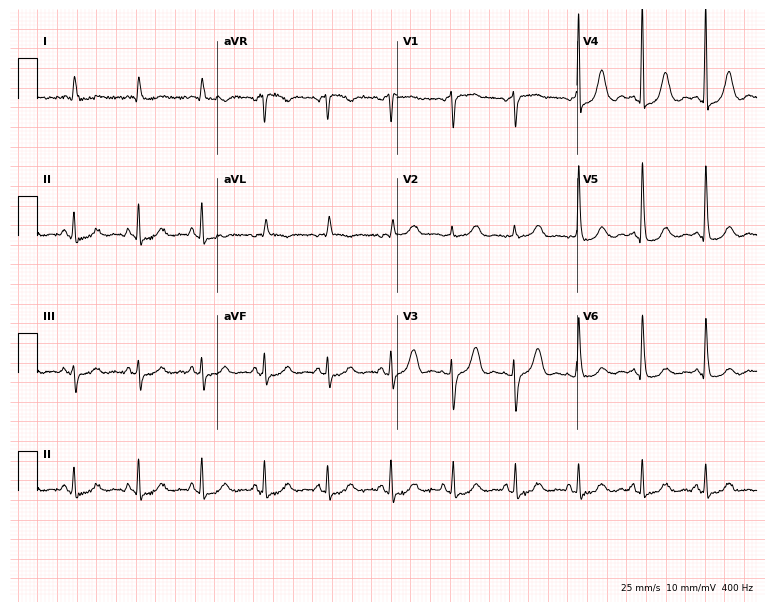
12-lead ECG from an 83-year-old female. Screened for six findings — first-degree AV block, right bundle branch block, left bundle branch block, sinus bradycardia, atrial fibrillation, sinus tachycardia — none is recorded.